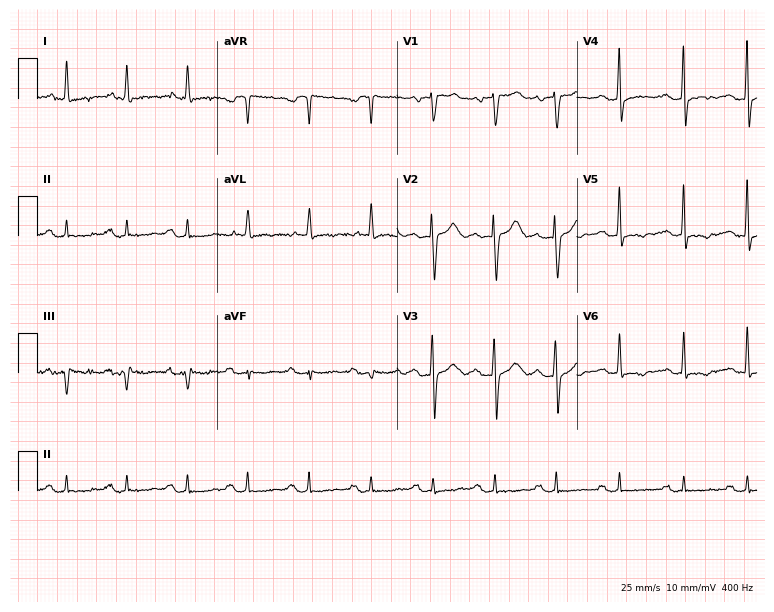
Standard 12-lead ECG recorded from a male patient, 83 years old. None of these six findings is recorded: first-degree AV block, right bundle branch block, left bundle branch block, sinus bradycardia, atrial fibrillation, sinus tachycardia. Findings outside these six are not listed.